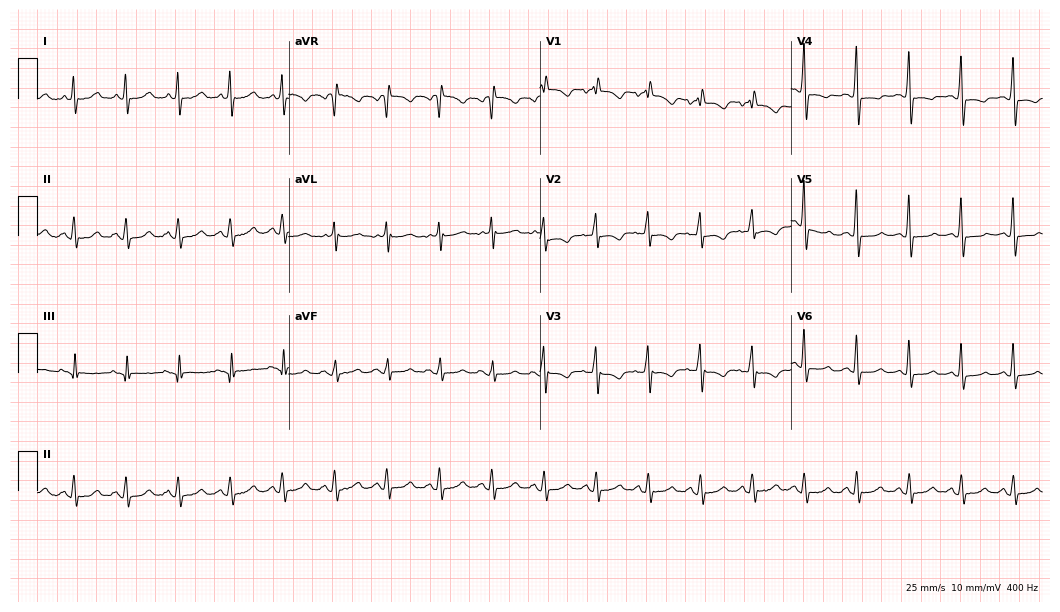
12-lead ECG (10.2-second recording at 400 Hz) from a female, 63 years old. Findings include sinus tachycardia (a sinus rate of 100 beats per minute or more).